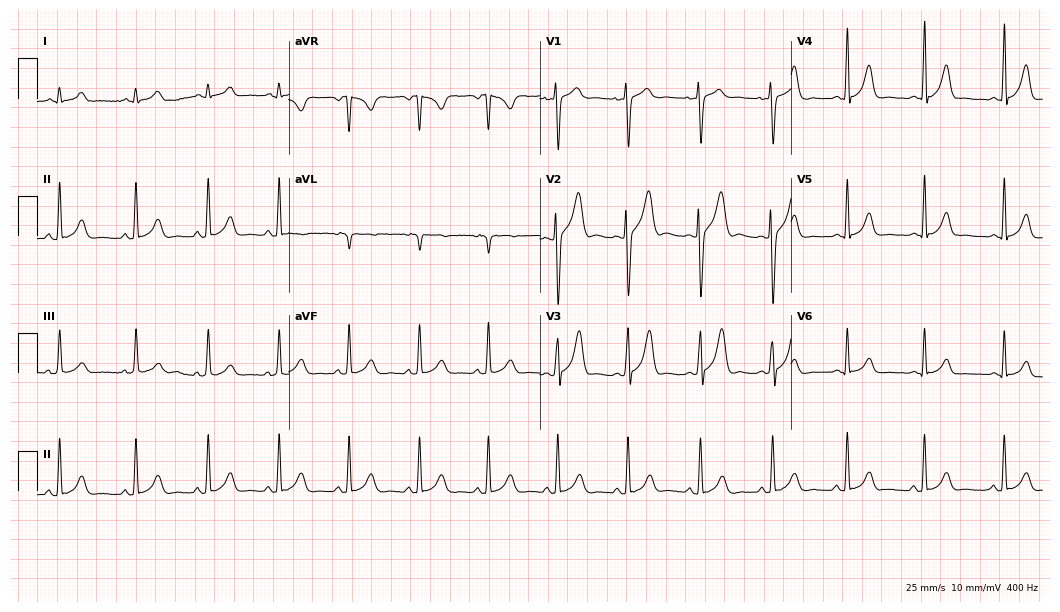
Standard 12-lead ECG recorded from a male, 18 years old (10.2-second recording at 400 Hz). Read as a normal ECG.